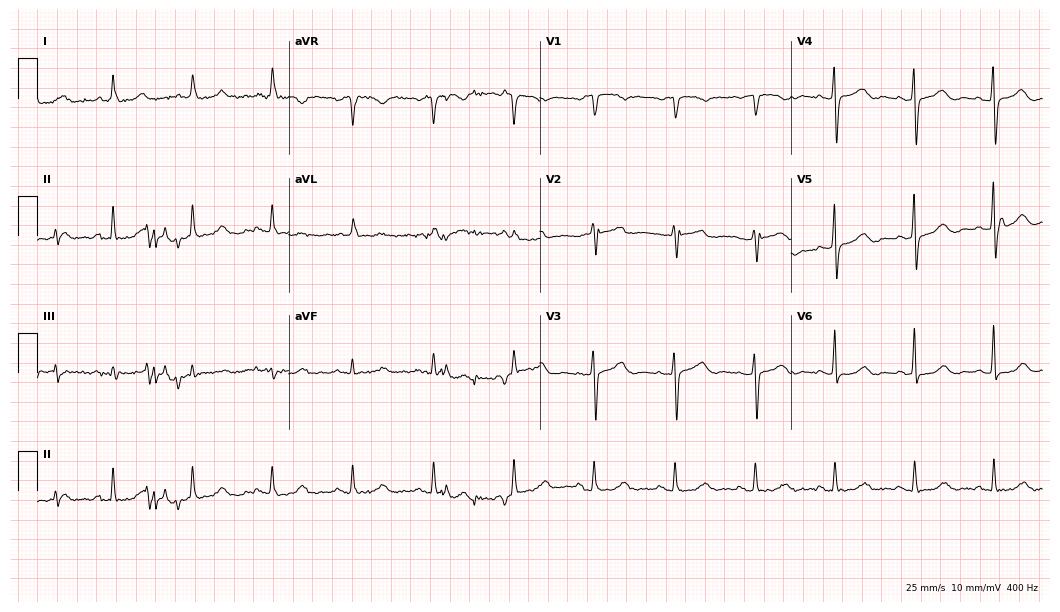
12-lead ECG from a female, 61 years old (10.2-second recording at 400 Hz). Recorded interpretation: within normal limits.